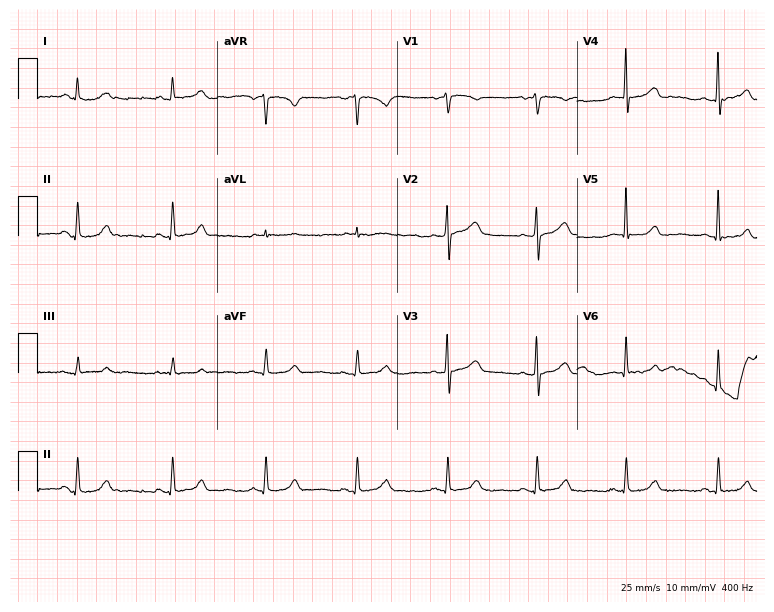
Resting 12-lead electrocardiogram (7.3-second recording at 400 Hz). Patient: a female, 62 years old. None of these six findings is recorded: first-degree AV block, right bundle branch block, left bundle branch block, sinus bradycardia, atrial fibrillation, sinus tachycardia. Only these six findings were labelled.